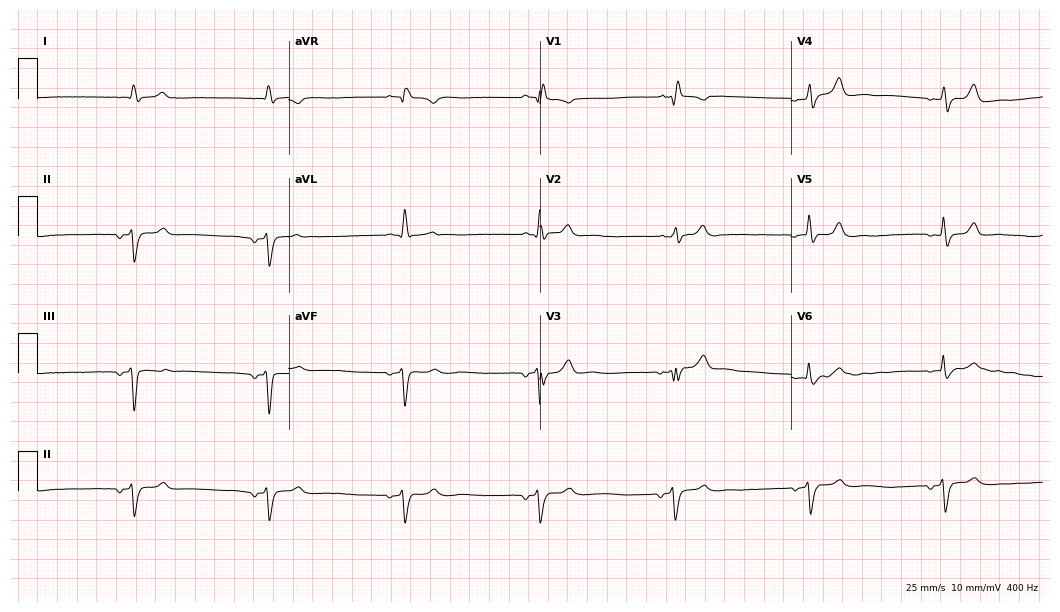
Standard 12-lead ECG recorded from a 61-year-old man. The tracing shows right bundle branch block.